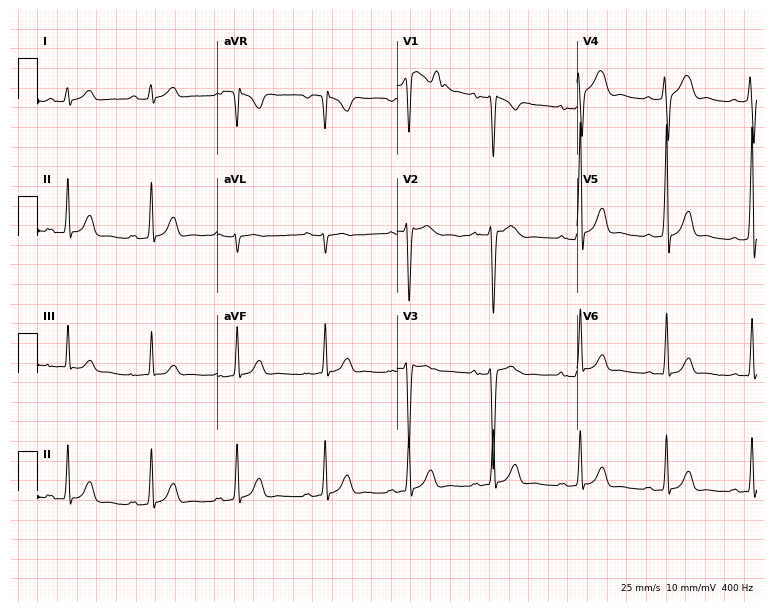
12-lead ECG from a 29-year-old man. No first-degree AV block, right bundle branch block, left bundle branch block, sinus bradycardia, atrial fibrillation or sinus tachycardia recorded for this tracing. Only these six findings were labelled.